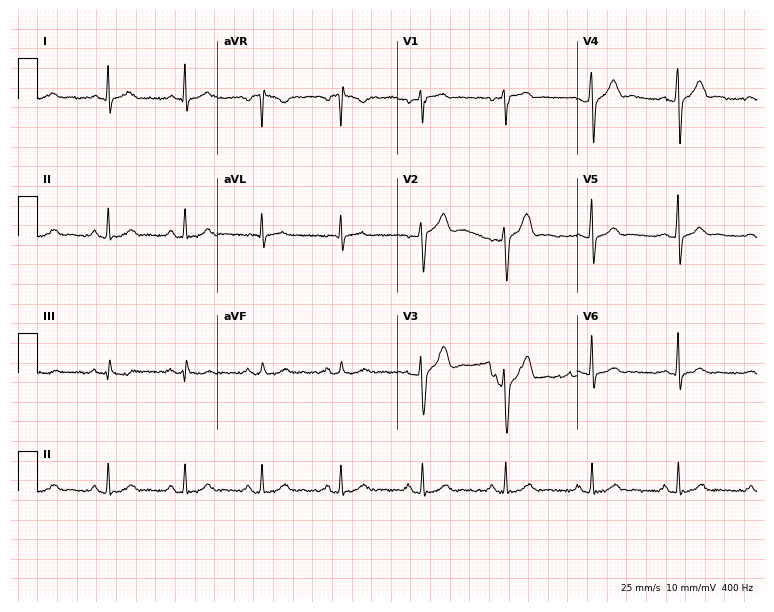
ECG (7.3-second recording at 400 Hz) — a 44-year-old man. Labelled as a normal ECG.